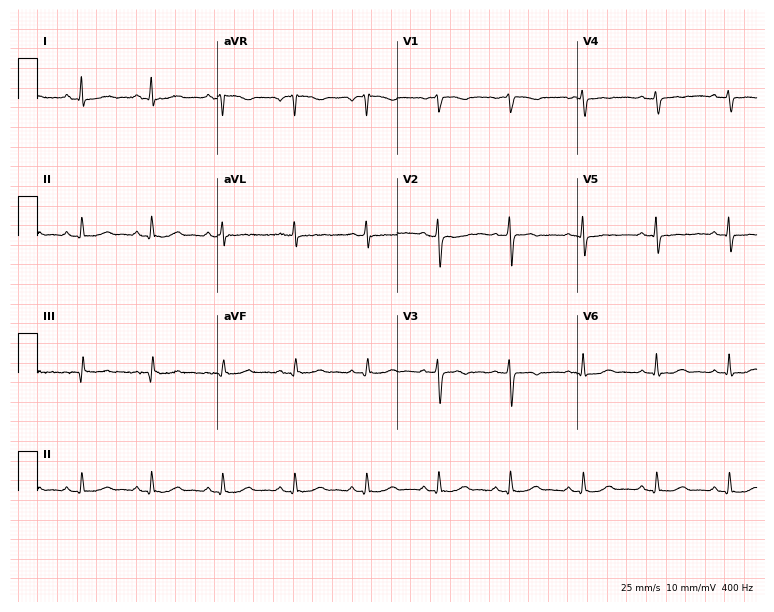
12-lead ECG from a 49-year-old female patient. No first-degree AV block, right bundle branch block, left bundle branch block, sinus bradycardia, atrial fibrillation or sinus tachycardia recorded for this tracing.